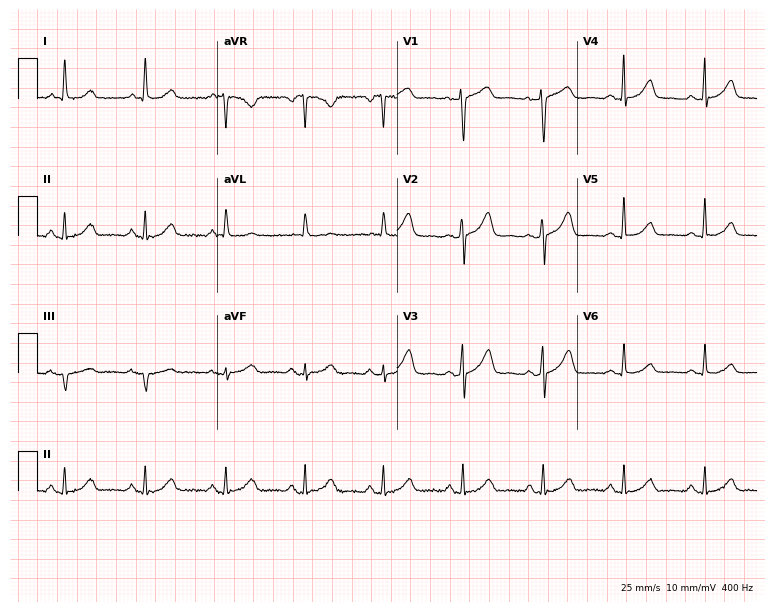
Resting 12-lead electrocardiogram. Patient: a 68-year-old female. Read as a normal ECG.